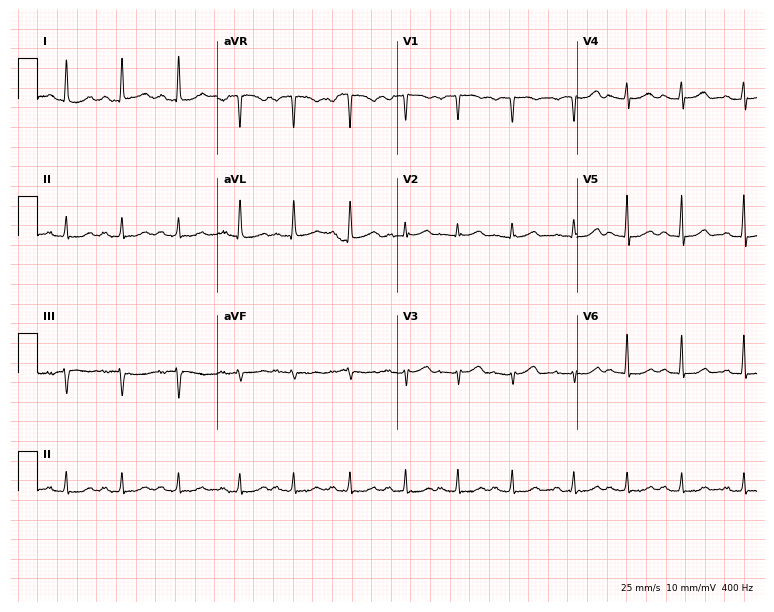
12-lead ECG (7.3-second recording at 400 Hz) from a 67-year-old female. Findings include sinus tachycardia (a sinus rate of 100 beats per minute or more).